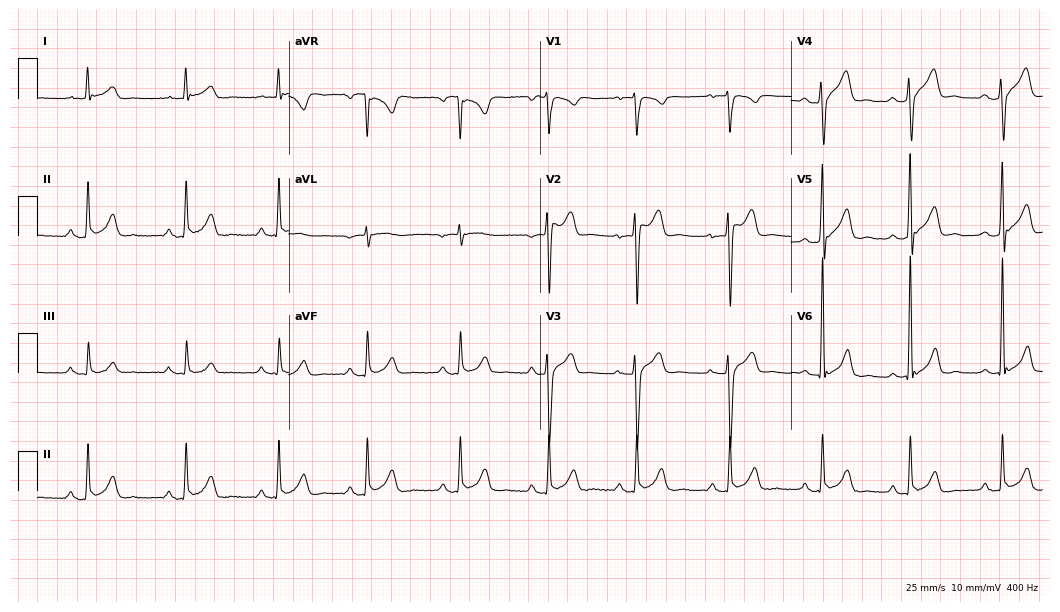
Electrocardiogram (10.2-second recording at 400 Hz), a male, 36 years old. Of the six screened findings (first-degree AV block, right bundle branch block, left bundle branch block, sinus bradycardia, atrial fibrillation, sinus tachycardia), none is recorded. Other findings, if any, are not listed.